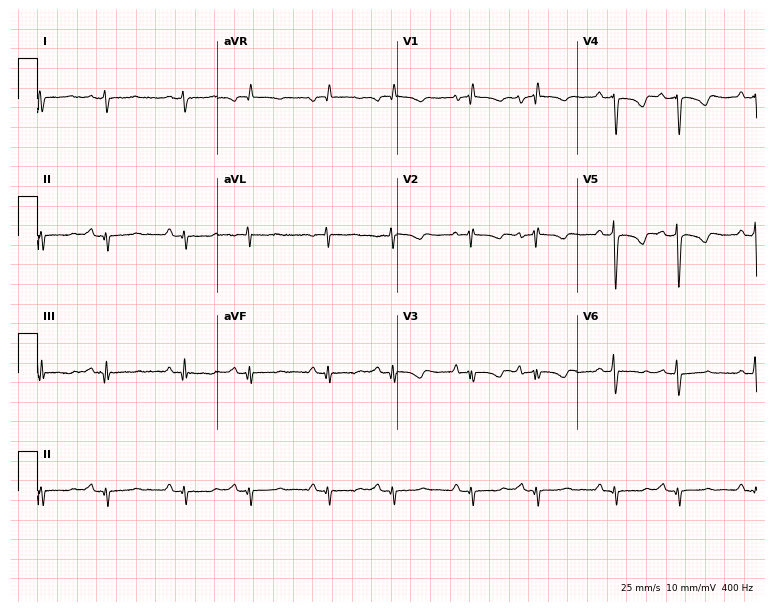
Resting 12-lead electrocardiogram. Patient: an 84-year-old female. None of these six findings is recorded: first-degree AV block, right bundle branch block, left bundle branch block, sinus bradycardia, atrial fibrillation, sinus tachycardia. Findings outside these six are not listed.